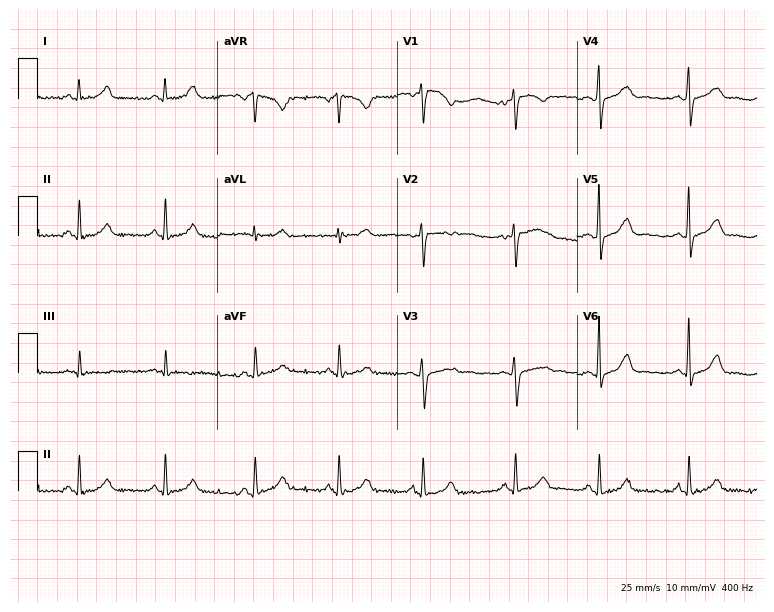
12-lead ECG (7.3-second recording at 400 Hz) from a 22-year-old female. Labelled as a normal ECG.